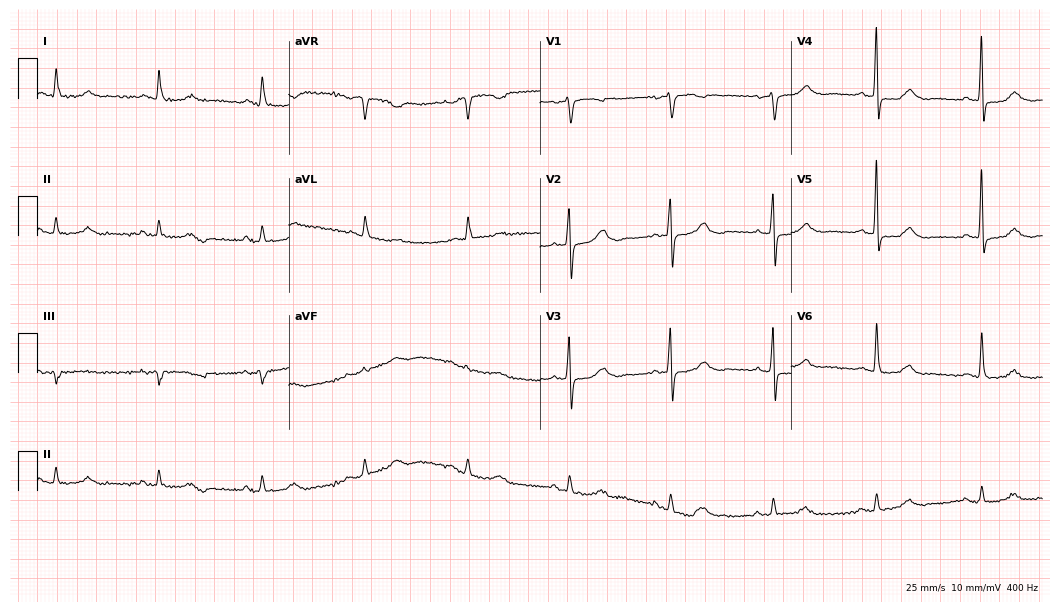
Electrocardiogram (10.2-second recording at 400 Hz), a female, 77 years old. Overall reading on record: normal ECG.